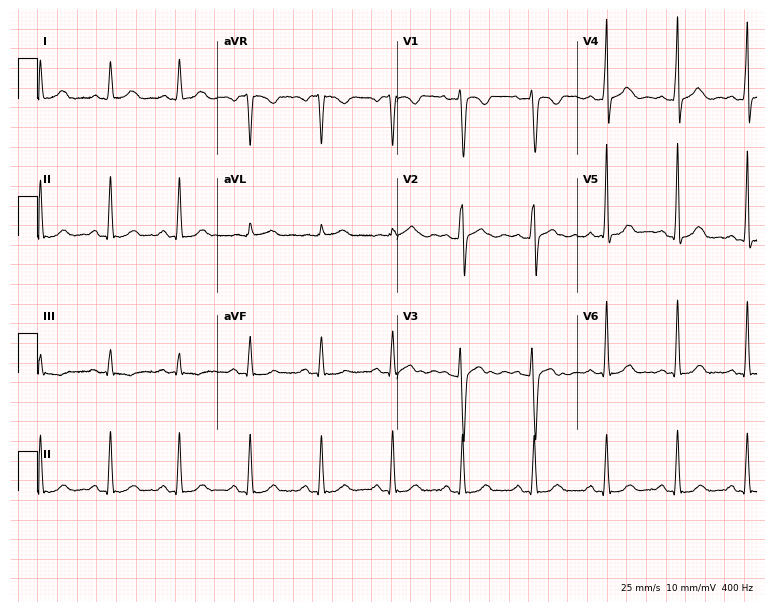
Resting 12-lead electrocardiogram (7.3-second recording at 400 Hz). Patient: a female, 23 years old. Read as a normal ECG.